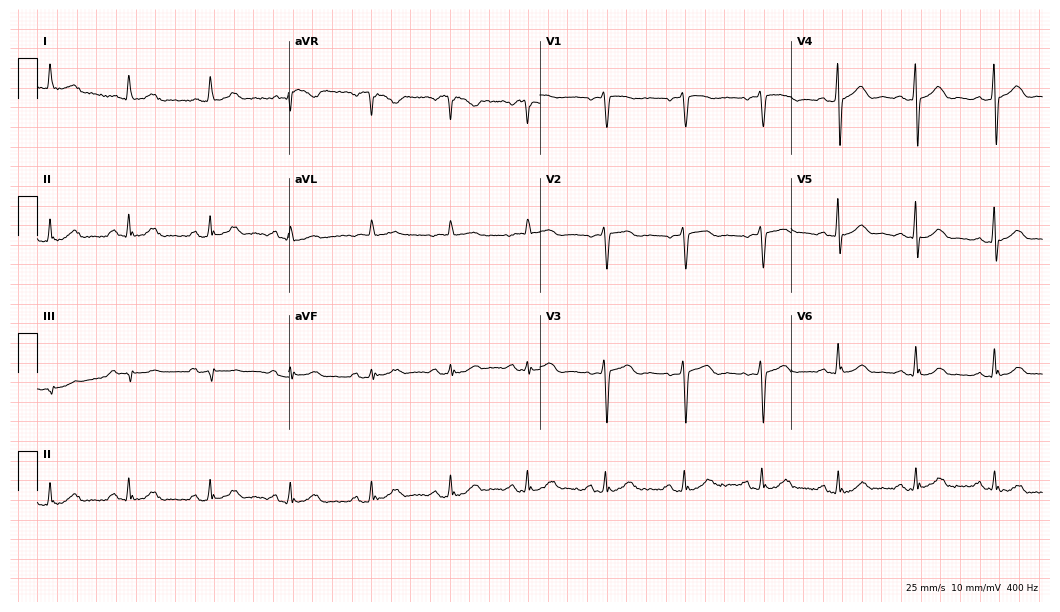
Resting 12-lead electrocardiogram. Patient: a woman, 81 years old. Read as a normal ECG.